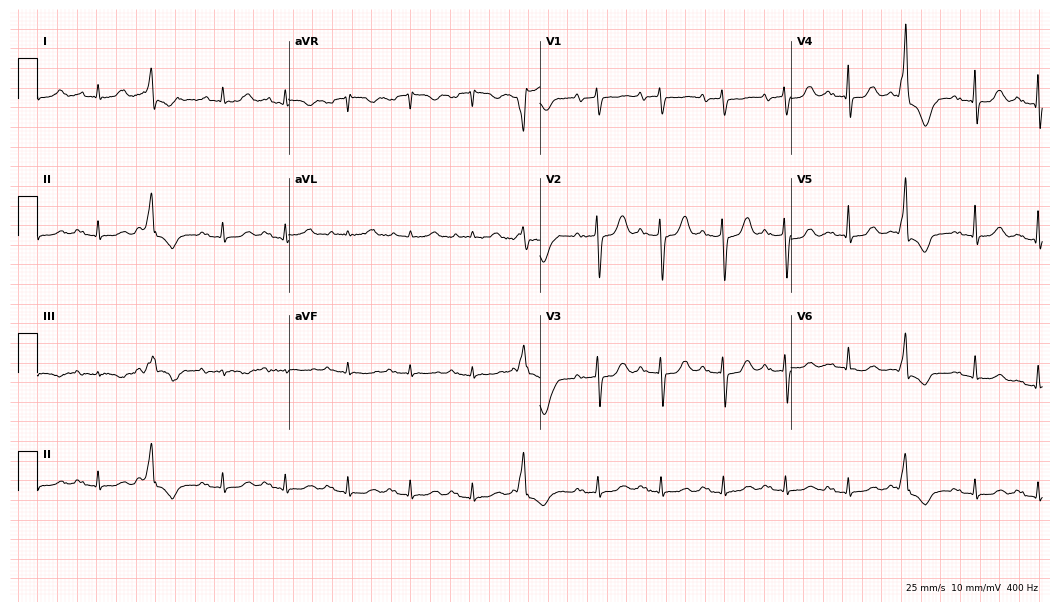
Electrocardiogram (10.2-second recording at 400 Hz), a female, 81 years old. Interpretation includes first-degree AV block.